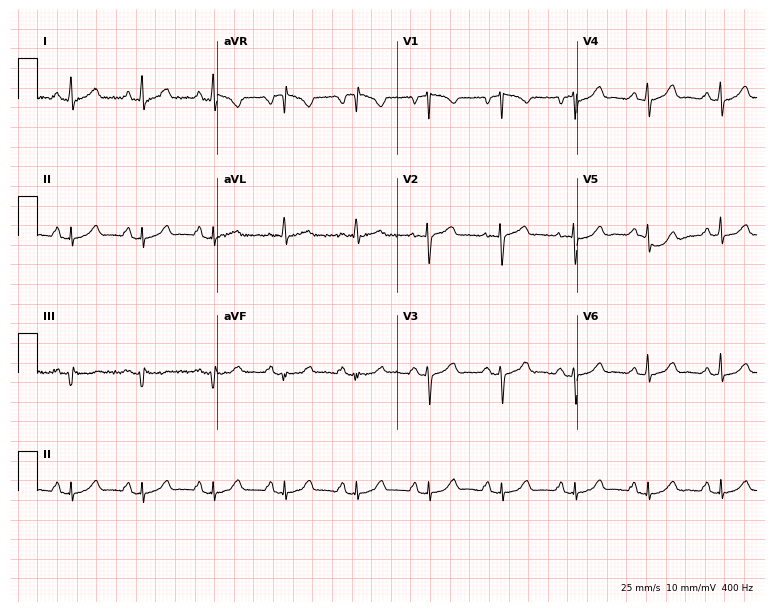
Electrocardiogram, a woman, 48 years old. Overall reading on record: normal ECG.